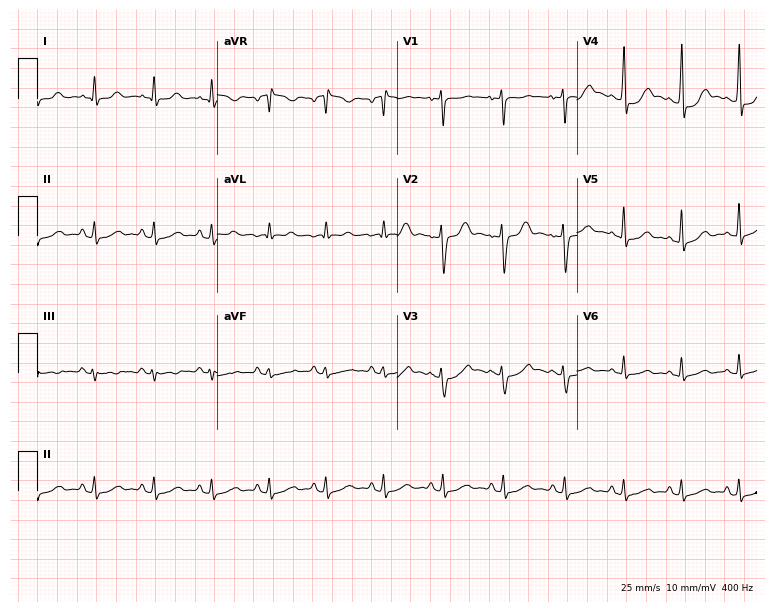
ECG (7.3-second recording at 400 Hz) — a woman, 27 years old. Screened for six findings — first-degree AV block, right bundle branch block (RBBB), left bundle branch block (LBBB), sinus bradycardia, atrial fibrillation (AF), sinus tachycardia — none is recorded.